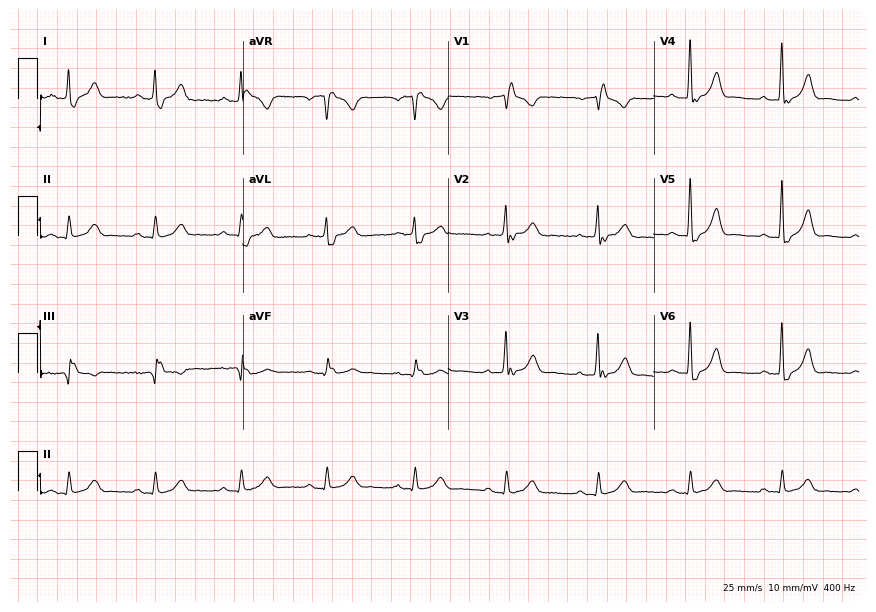
Resting 12-lead electrocardiogram. Patient: a 66-year-old male. The tracing shows right bundle branch block.